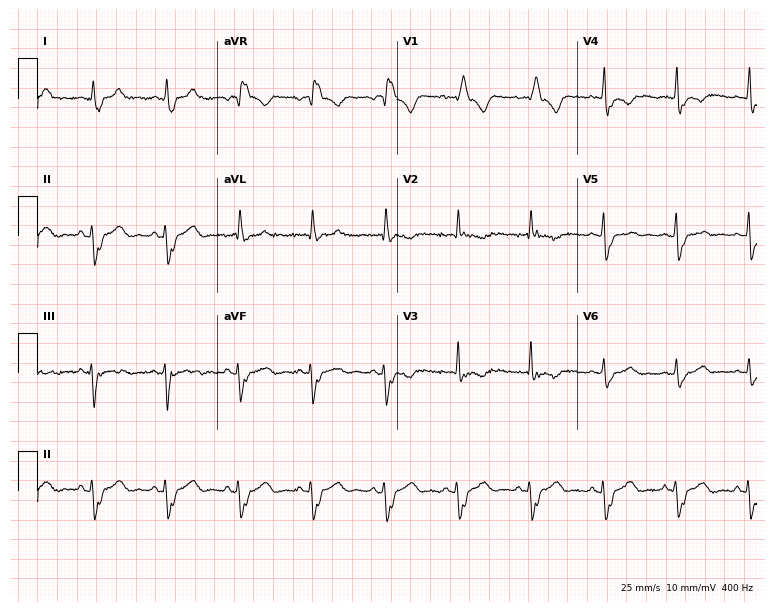
Resting 12-lead electrocardiogram. Patient: a 43-year-old woman. The tracing shows right bundle branch block (RBBB).